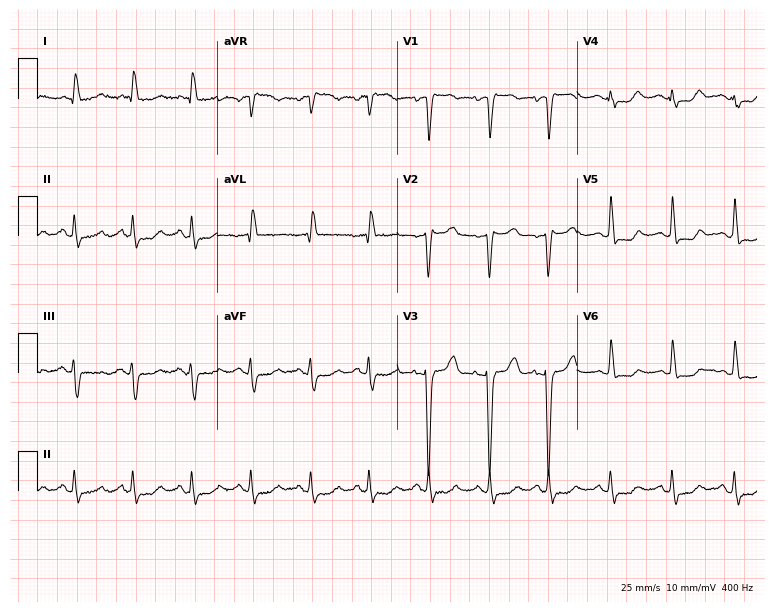
12-lead ECG from a 72-year-old female (7.3-second recording at 400 Hz). No first-degree AV block, right bundle branch block (RBBB), left bundle branch block (LBBB), sinus bradycardia, atrial fibrillation (AF) or sinus tachycardia recorded for this tracing. Only these six findings were labelled.